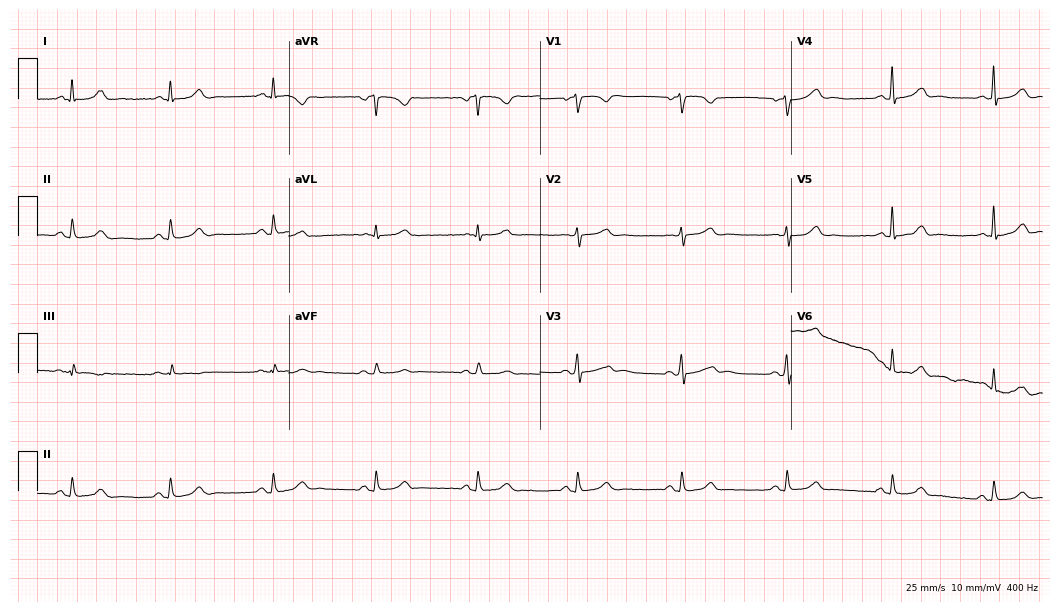
12-lead ECG from a woman, 51 years old (10.2-second recording at 400 Hz). No first-degree AV block, right bundle branch block, left bundle branch block, sinus bradycardia, atrial fibrillation or sinus tachycardia recorded for this tracing. Only these six findings were labelled.